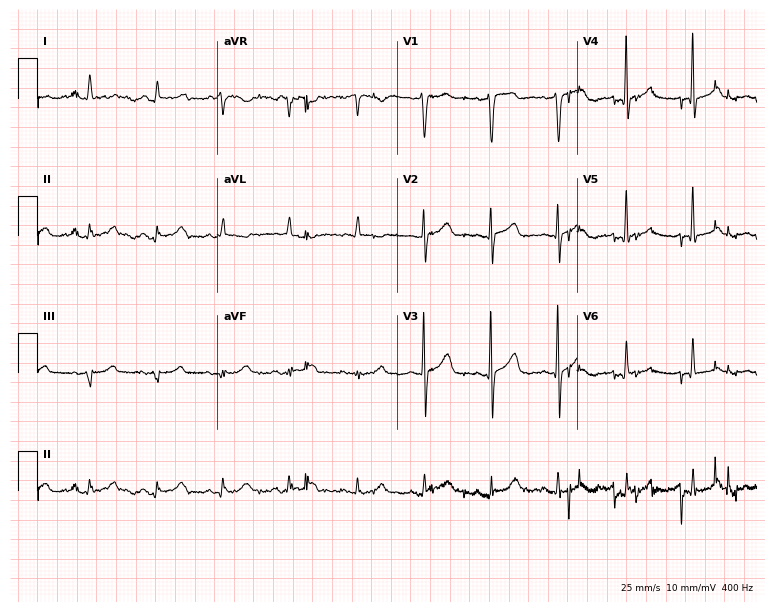
ECG (7.3-second recording at 400 Hz) — a 75-year-old woman. Screened for six findings — first-degree AV block, right bundle branch block (RBBB), left bundle branch block (LBBB), sinus bradycardia, atrial fibrillation (AF), sinus tachycardia — none is recorded. Only these six findings were labelled.